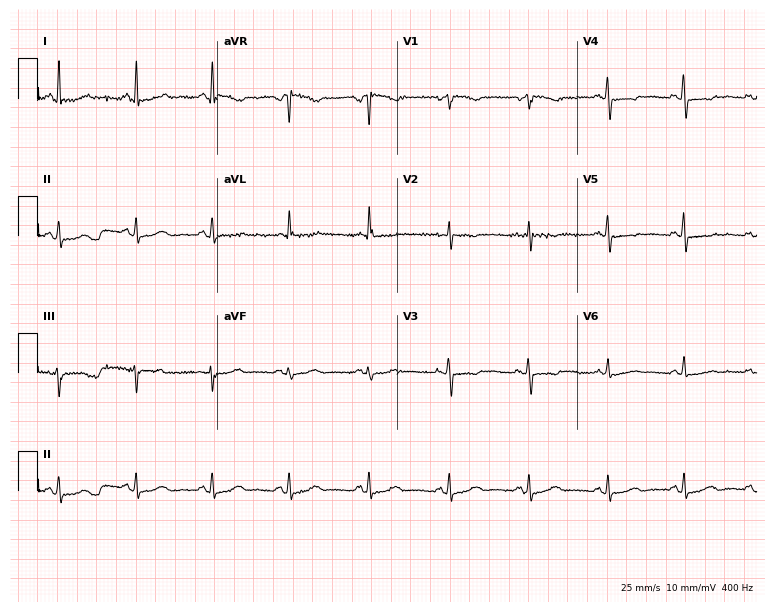
Electrocardiogram, a female, 51 years old. Of the six screened findings (first-degree AV block, right bundle branch block, left bundle branch block, sinus bradycardia, atrial fibrillation, sinus tachycardia), none is recorded. Only these six findings were labelled.